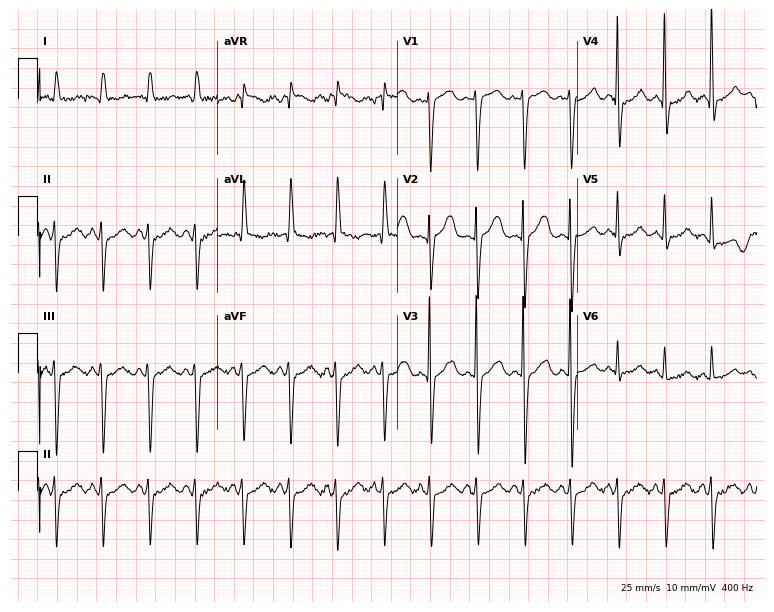
Standard 12-lead ECG recorded from a 66-year-old female patient (7.3-second recording at 400 Hz). The tracing shows sinus tachycardia (a sinus rate of 100 beats per minute or more).